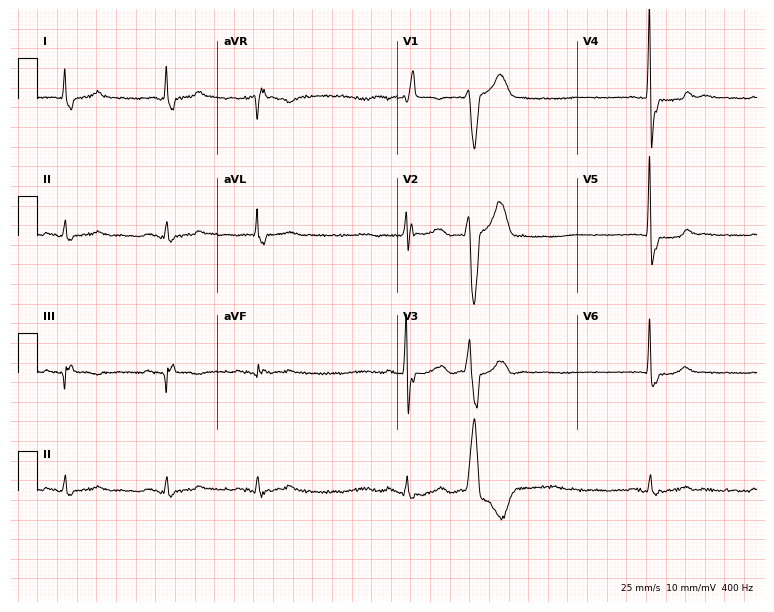
Resting 12-lead electrocardiogram. Patient: a 75-year-old man. The tracing shows right bundle branch block.